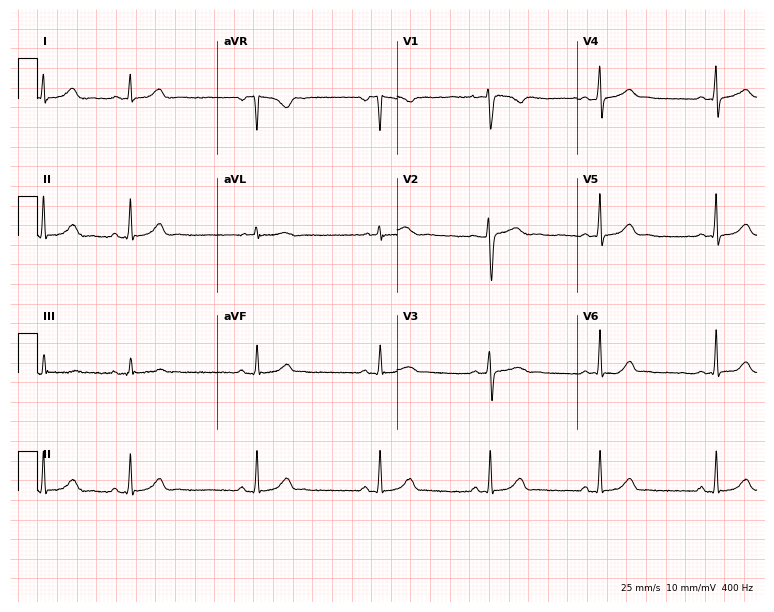
Standard 12-lead ECG recorded from a female patient, 25 years old. None of these six findings is recorded: first-degree AV block, right bundle branch block (RBBB), left bundle branch block (LBBB), sinus bradycardia, atrial fibrillation (AF), sinus tachycardia. Other findings, if any, are not listed.